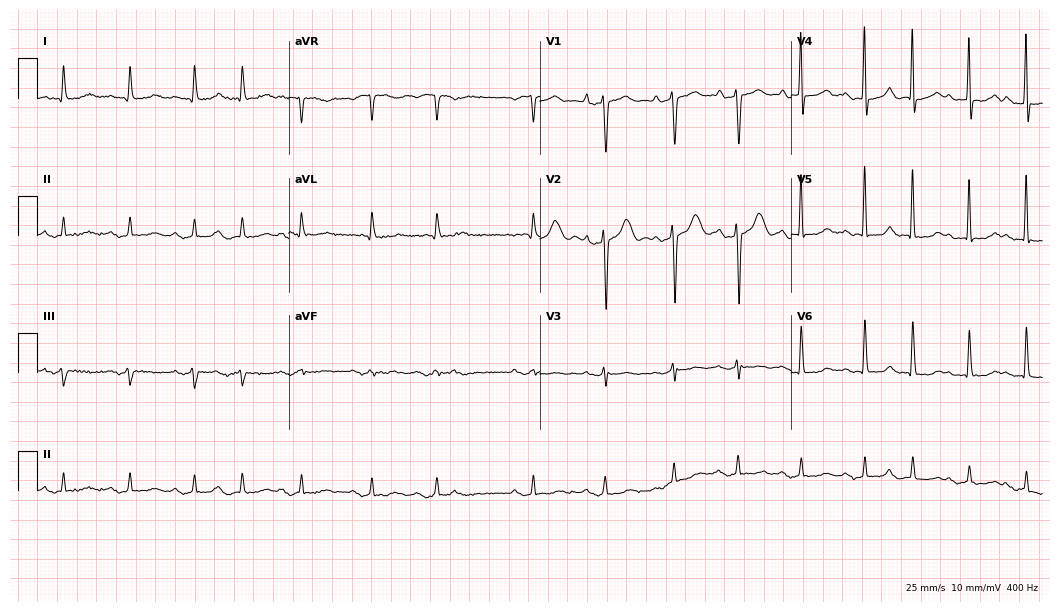
Electrocardiogram (10.2-second recording at 400 Hz), a male patient, 82 years old. Of the six screened findings (first-degree AV block, right bundle branch block (RBBB), left bundle branch block (LBBB), sinus bradycardia, atrial fibrillation (AF), sinus tachycardia), none is recorded. Findings outside these six are not listed.